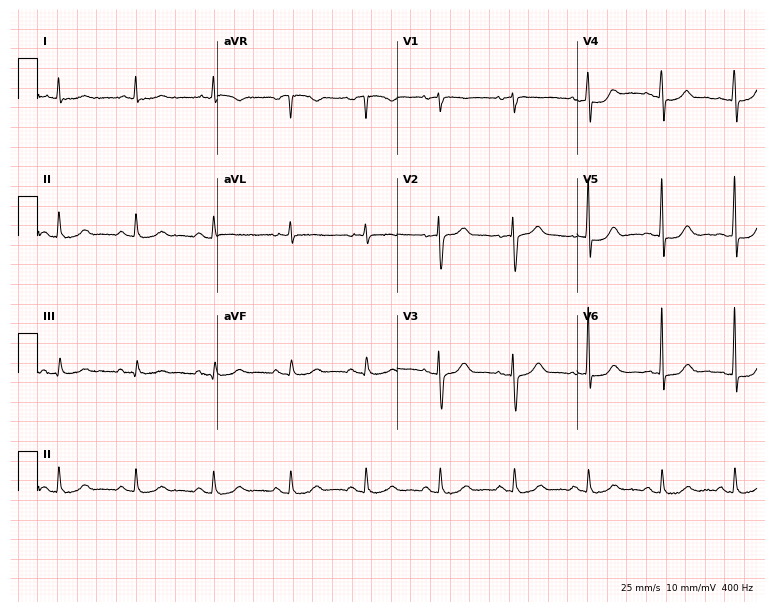
Electrocardiogram (7.3-second recording at 400 Hz), a 67-year-old man. Of the six screened findings (first-degree AV block, right bundle branch block (RBBB), left bundle branch block (LBBB), sinus bradycardia, atrial fibrillation (AF), sinus tachycardia), none is recorded. Other findings, if any, are not listed.